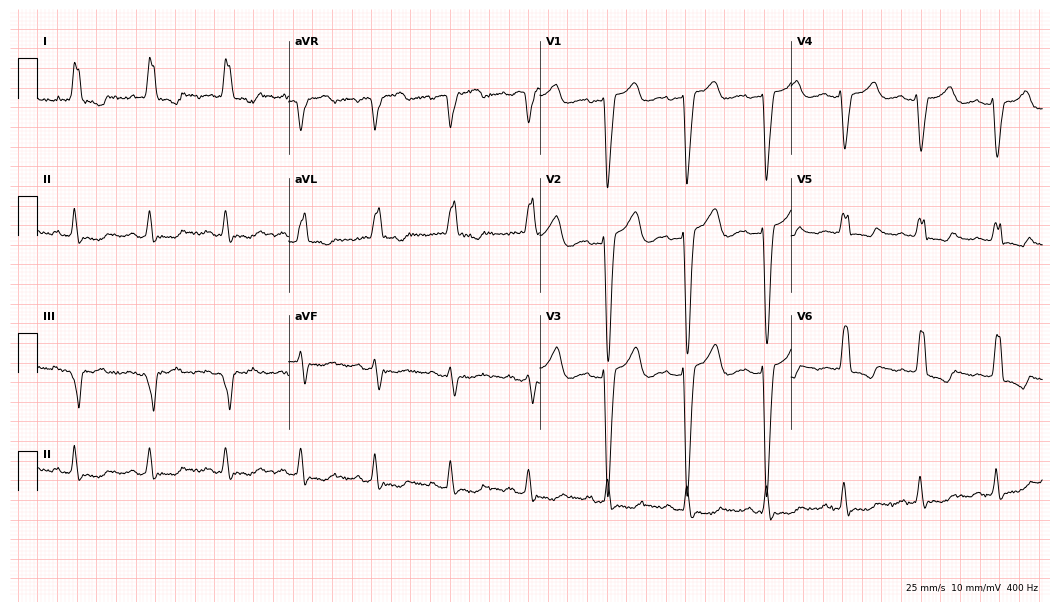
ECG (10.2-second recording at 400 Hz) — a woman, 83 years old. Screened for six findings — first-degree AV block, right bundle branch block (RBBB), left bundle branch block (LBBB), sinus bradycardia, atrial fibrillation (AF), sinus tachycardia — none is recorded. Other findings, if any, are not listed.